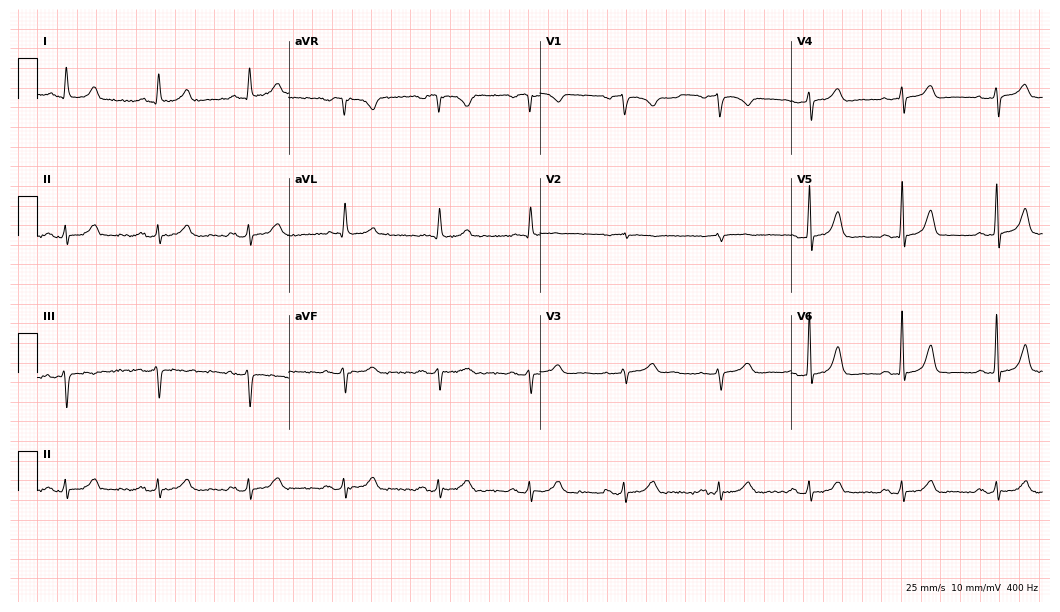
12-lead ECG (10.2-second recording at 400 Hz) from a 75-year-old man. Labelled as a normal ECG.